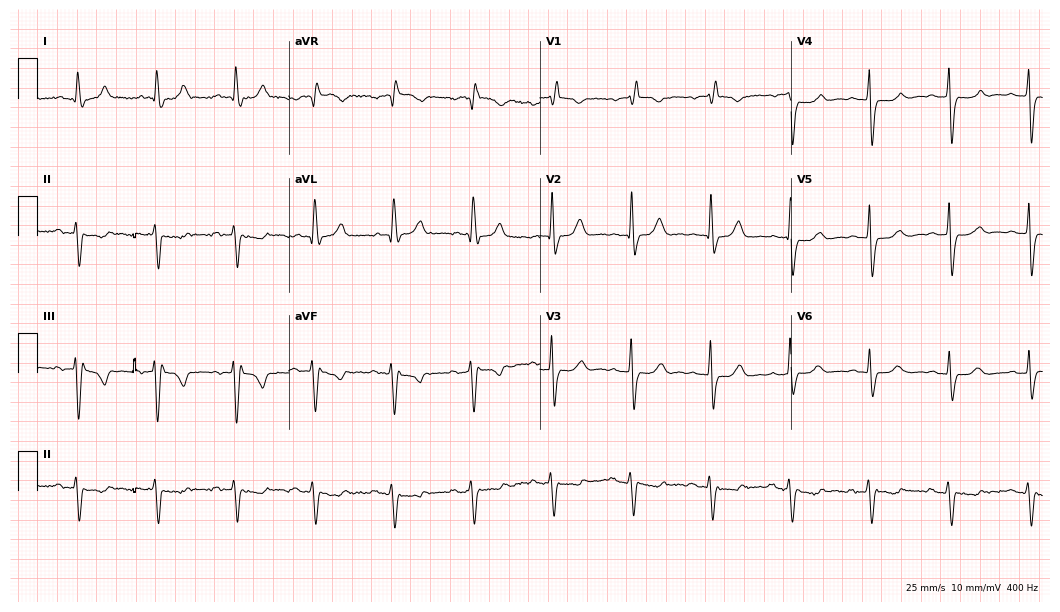
12-lead ECG (10.2-second recording at 400 Hz) from a woman, 85 years old. Findings include right bundle branch block.